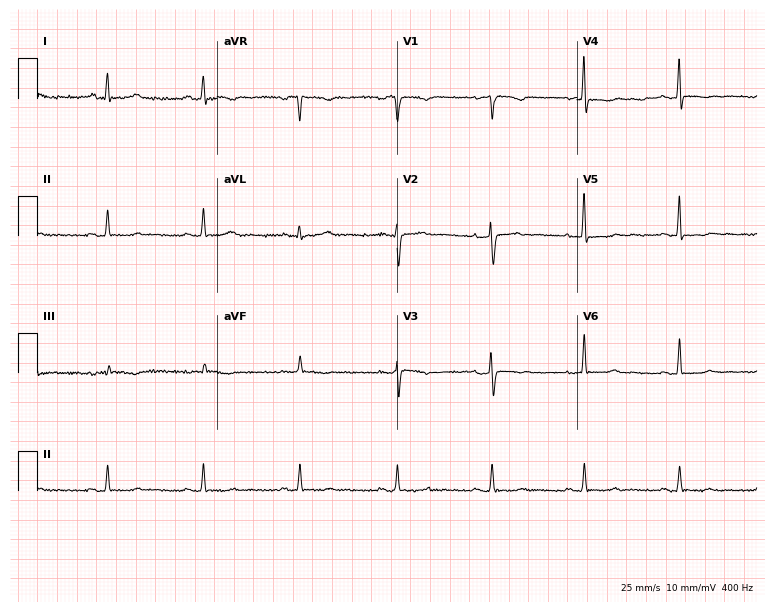
12-lead ECG from a female patient, 51 years old. Screened for six findings — first-degree AV block, right bundle branch block, left bundle branch block, sinus bradycardia, atrial fibrillation, sinus tachycardia — none is recorded. Findings outside these six are not listed.